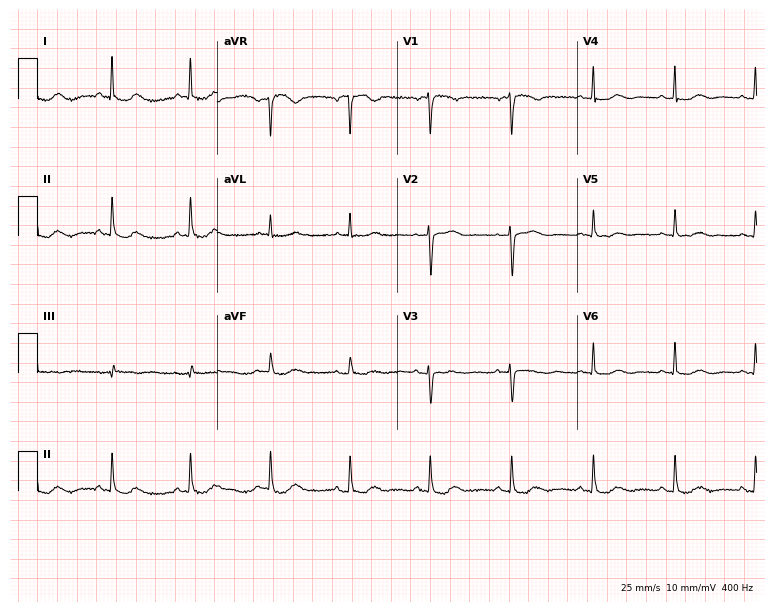
Resting 12-lead electrocardiogram (7.3-second recording at 400 Hz). Patient: a woman, 67 years old. None of these six findings is recorded: first-degree AV block, right bundle branch block, left bundle branch block, sinus bradycardia, atrial fibrillation, sinus tachycardia. Findings outside these six are not listed.